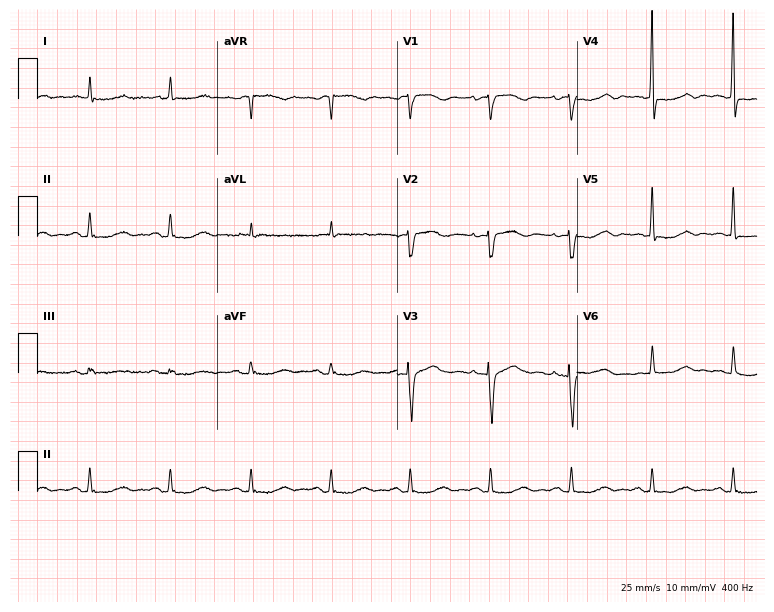
Resting 12-lead electrocardiogram. Patient: a female, 84 years old. None of these six findings is recorded: first-degree AV block, right bundle branch block (RBBB), left bundle branch block (LBBB), sinus bradycardia, atrial fibrillation (AF), sinus tachycardia. Other findings, if any, are not listed.